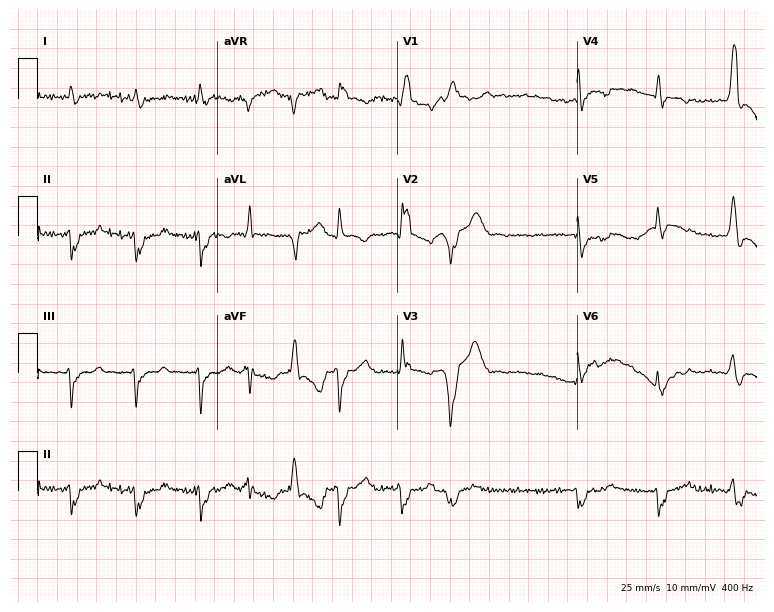
Standard 12-lead ECG recorded from a 69-year-old male patient. None of these six findings is recorded: first-degree AV block, right bundle branch block, left bundle branch block, sinus bradycardia, atrial fibrillation, sinus tachycardia. Other findings, if any, are not listed.